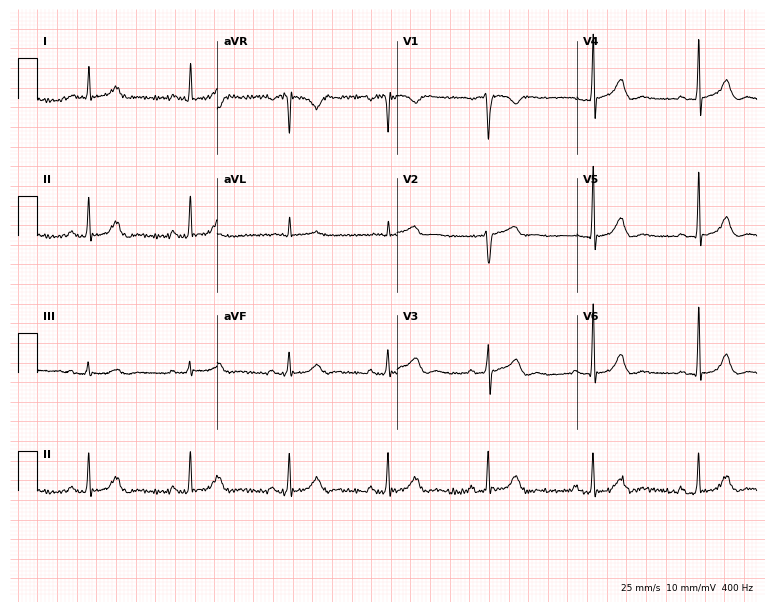
Resting 12-lead electrocardiogram (7.3-second recording at 400 Hz). Patient: a man, 63 years old. Read as a normal ECG.